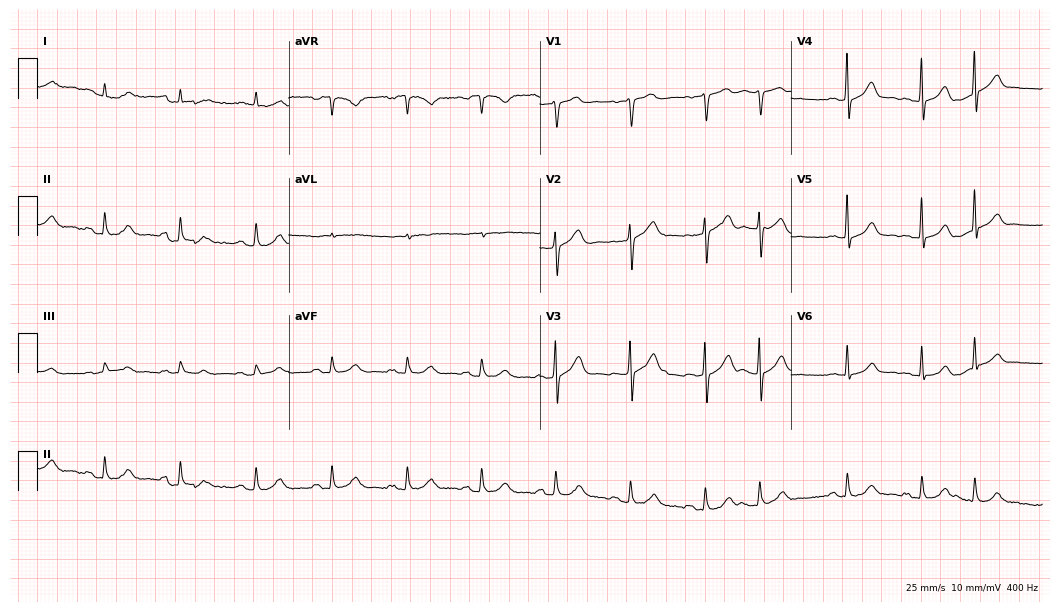
Electrocardiogram, an 80-year-old male patient. Of the six screened findings (first-degree AV block, right bundle branch block (RBBB), left bundle branch block (LBBB), sinus bradycardia, atrial fibrillation (AF), sinus tachycardia), none is recorded.